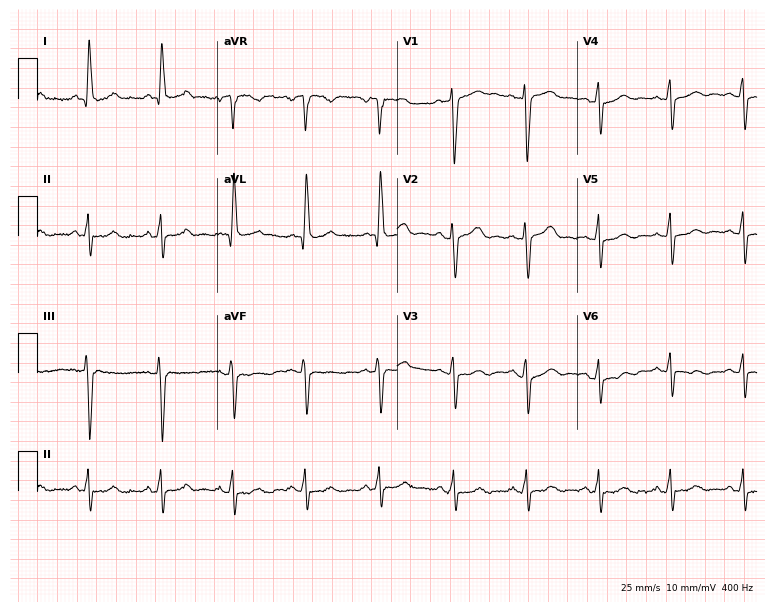
Standard 12-lead ECG recorded from a female, 71 years old. None of these six findings is recorded: first-degree AV block, right bundle branch block, left bundle branch block, sinus bradycardia, atrial fibrillation, sinus tachycardia.